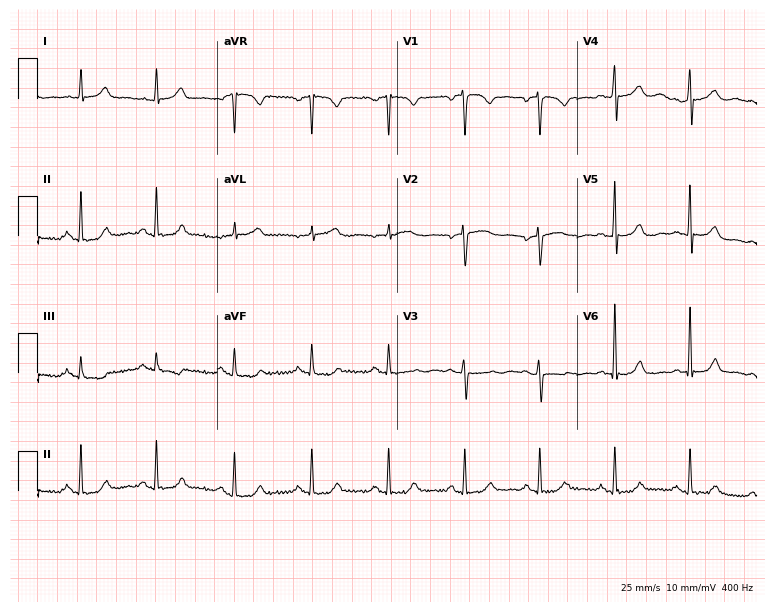
Standard 12-lead ECG recorded from a 47-year-old female (7.3-second recording at 400 Hz). Read as a normal ECG.